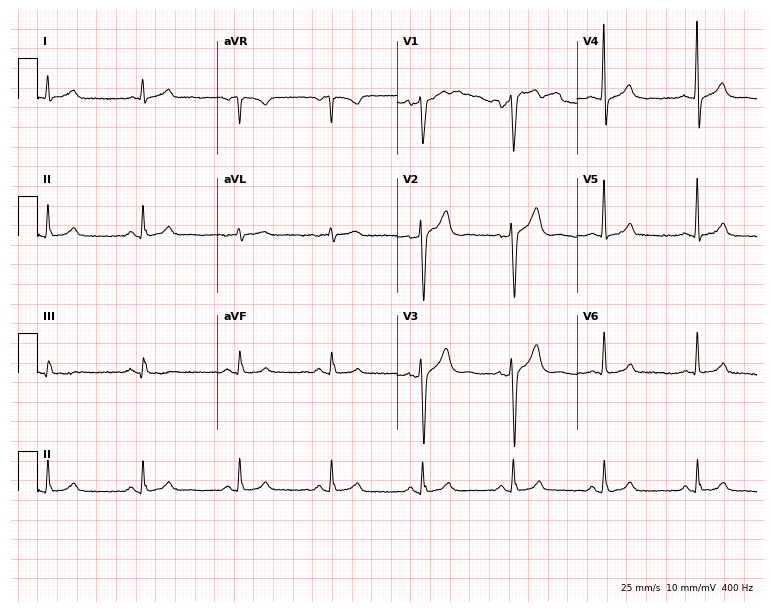
12-lead ECG from a man, 49 years old. Labelled as a normal ECG.